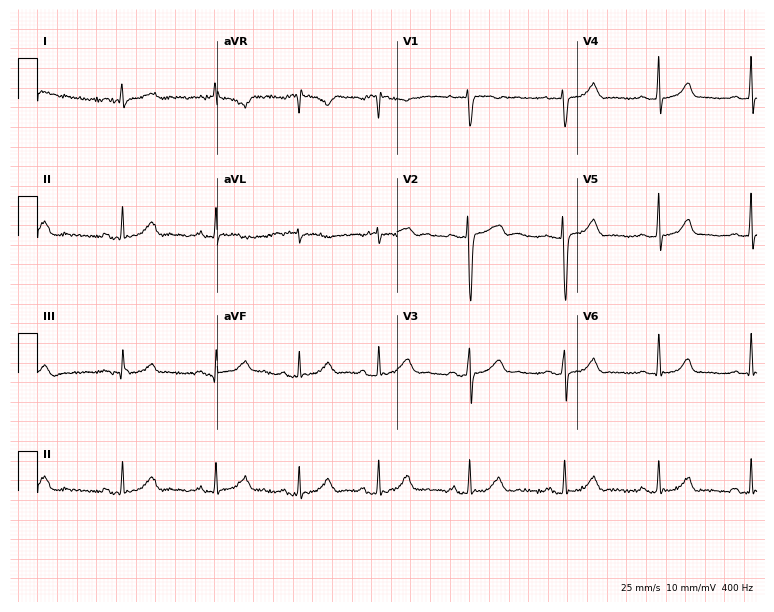
Resting 12-lead electrocardiogram (7.3-second recording at 400 Hz). Patient: a female, 33 years old. Read as a normal ECG.